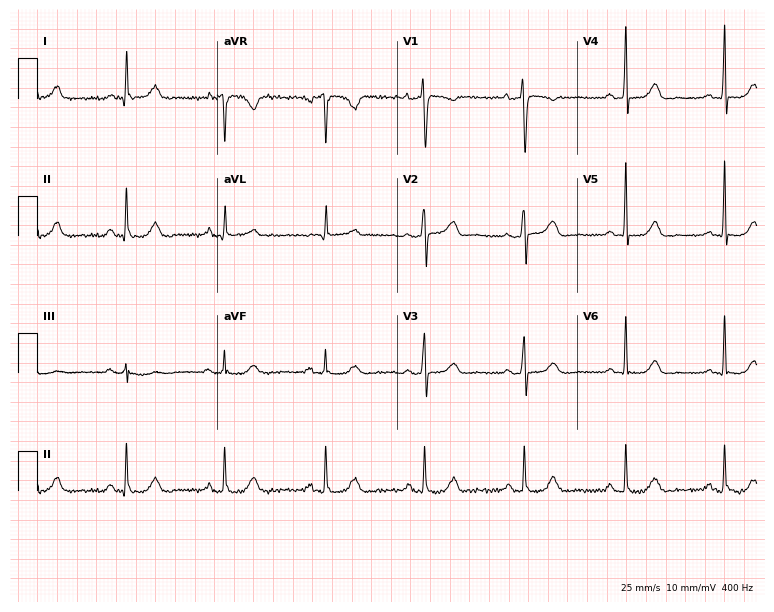
ECG (7.3-second recording at 400 Hz) — a woman, 64 years old. Screened for six findings — first-degree AV block, right bundle branch block, left bundle branch block, sinus bradycardia, atrial fibrillation, sinus tachycardia — none is recorded.